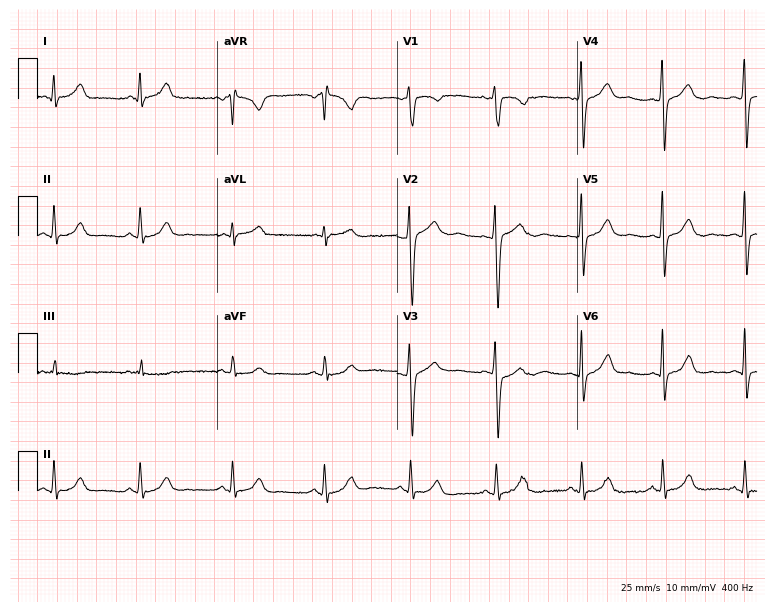
Standard 12-lead ECG recorded from a male, 30 years old. Read as a normal ECG.